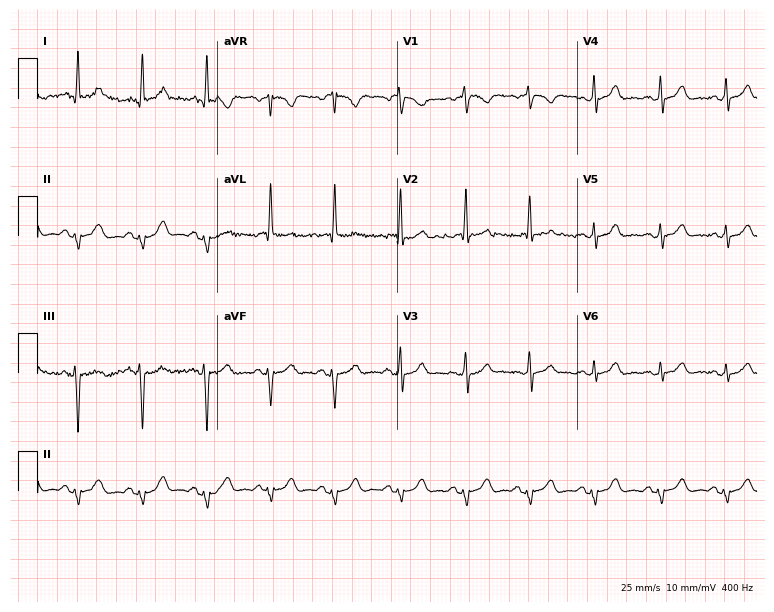
12-lead ECG (7.3-second recording at 400 Hz) from a woman, 60 years old. Screened for six findings — first-degree AV block, right bundle branch block (RBBB), left bundle branch block (LBBB), sinus bradycardia, atrial fibrillation (AF), sinus tachycardia — none is recorded.